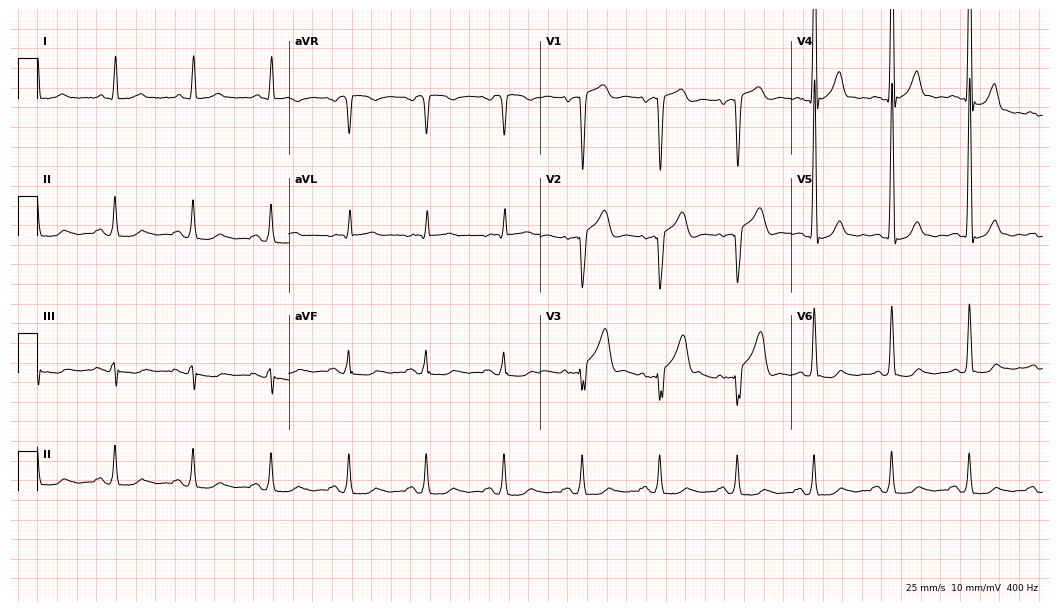
ECG (10.2-second recording at 400 Hz) — a male patient, 67 years old. Screened for six findings — first-degree AV block, right bundle branch block (RBBB), left bundle branch block (LBBB), sinus bradycardia, atrial fibrillation (AF), sinus tachycardia — none is recorded.